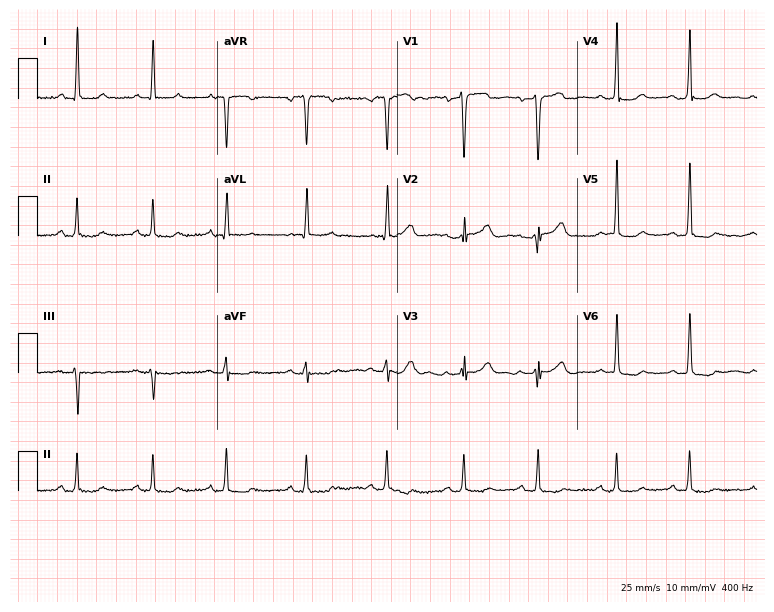
Resting 12-lead electrocardiogram (7.3-second recording at 400 Hz). Patient: a 62-year-old female. None of these six findings is recorded: first-degree AV block, right bundle branch block, left bundle branch block, sinus bradycardia, atrial fibrillation, sinus tachycardia.